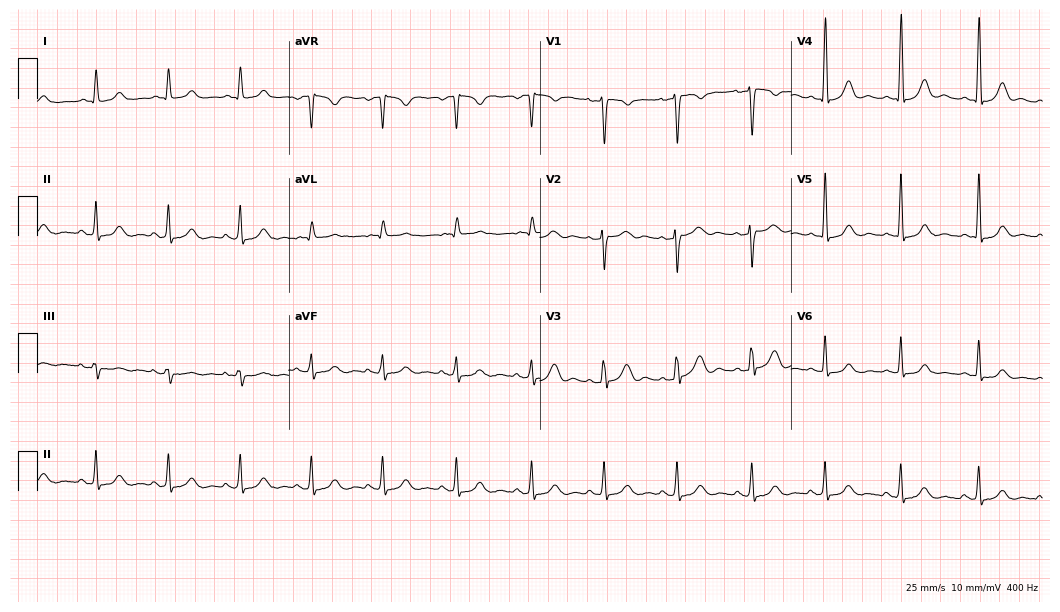
12-lead ECG (10.2-second recording at 400 Hz) from a woman, 45 years old. Screened for six findings — first-degree AV block, right bundle branch block, left bundle branch block, sinus bradycardia, atrial fibrillation, sinus tachycardia — none is recorded. Findings outside these six are not listed.